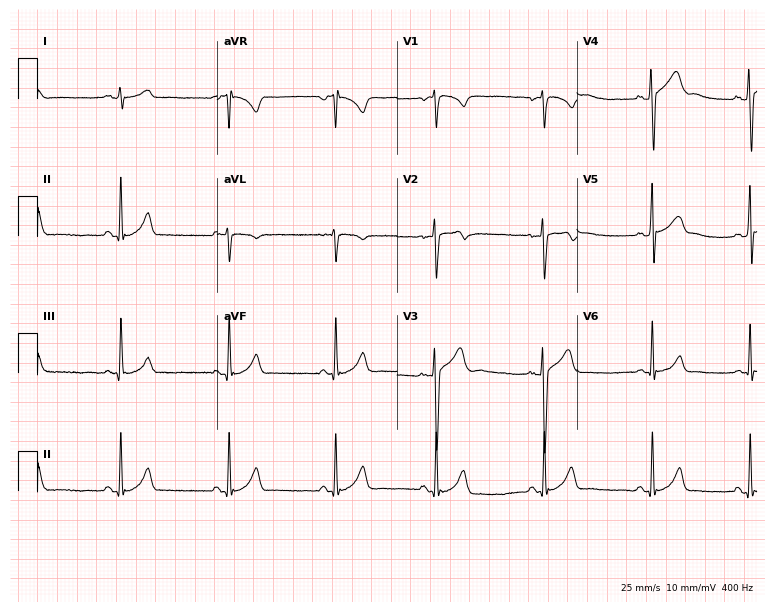
Resting 12-lead electrocardiogram (7.3-second recording at 400 Hz). Patient: a 21-year-old man. Read as a normal ECG.